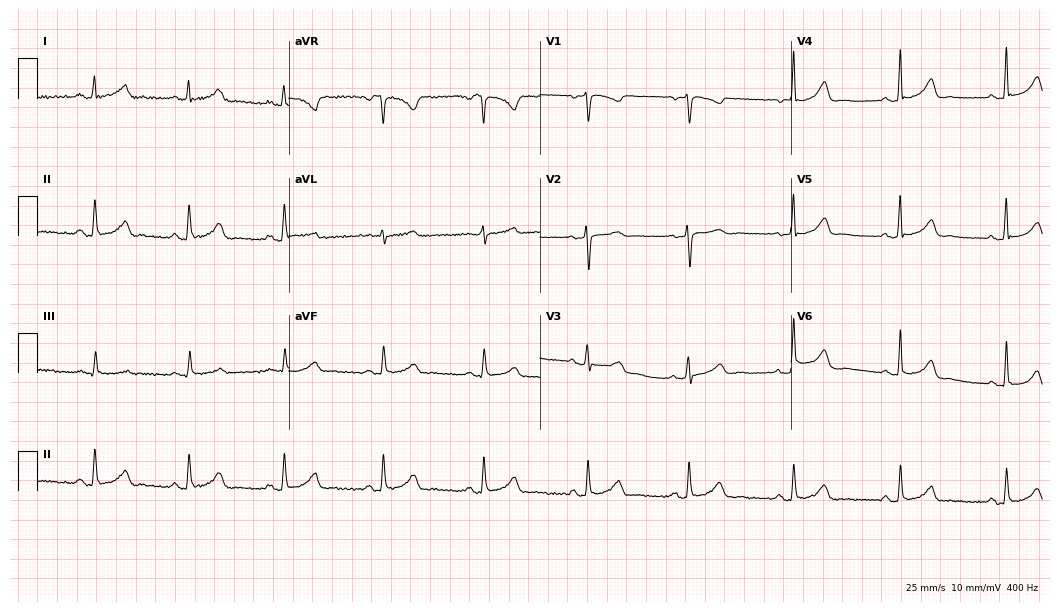
Electrocardiogram (10.2-second recording at 400 Hz), a 43-year-old woman. Overall reading on record: normal ECG.